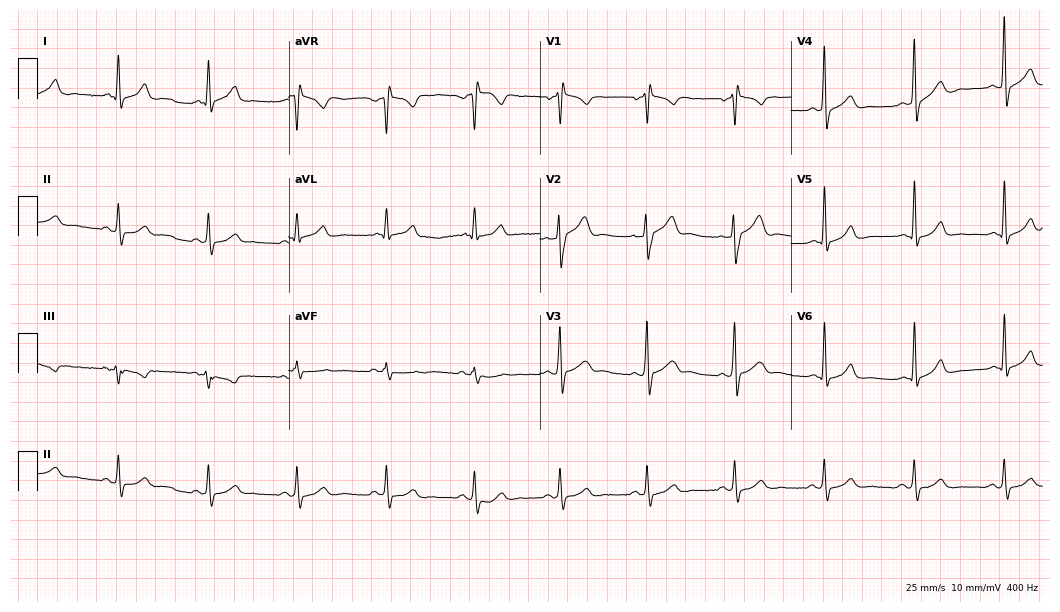
Standard 12-lead ECG recorded from a 33-year-old male patient (10.2-second recording at 400 Hz). Read as a normal ECG.